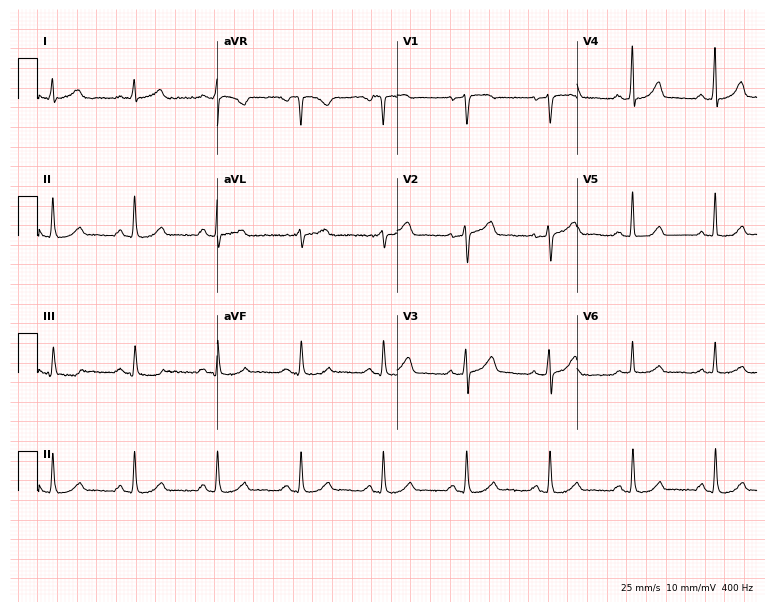
12-lead ECG from a female, 59 years old (7.3-second recording at 400 Hz). Recorded interpretation: within normal limits.